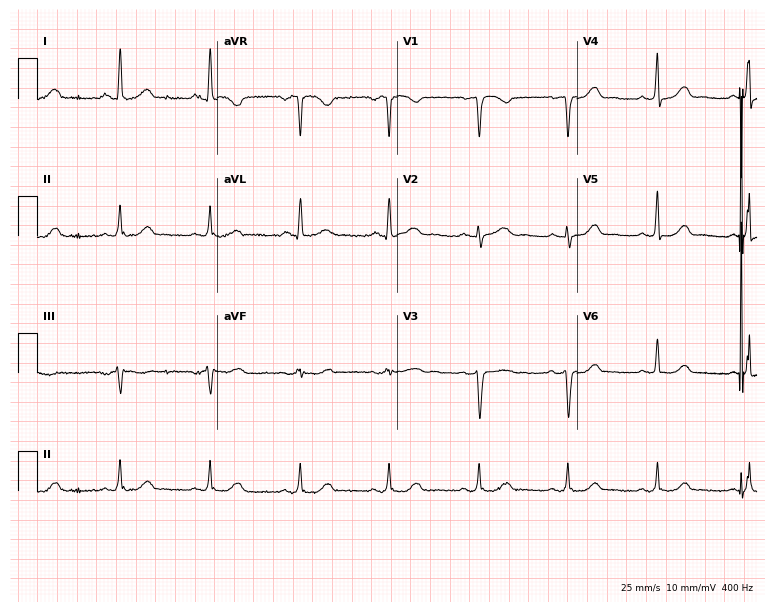
Resting 12-lead electrocardiogram (7.3-second recording at 400 Hz). Patient: a 66-year-old female. Read as a normal ECG.